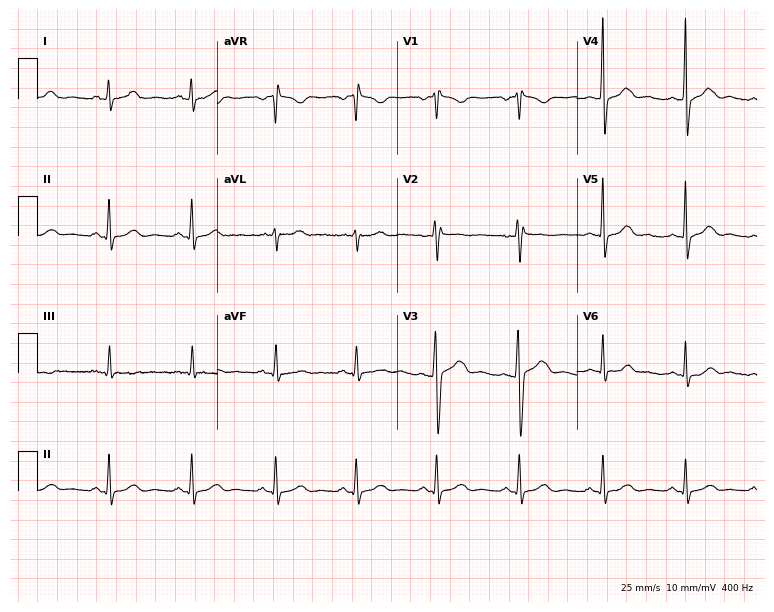
12-lead ECG from a 35-year-old woman (7.3-second recording at 400 Hz). No first-degree AV block, right bundle branch block (RBBB), left bundle branch block (LBBB), sinus bradycardia, atrial fibrillation (AF) or sinus tachycardia recorded for this tracing. Only these six findings were labelled.